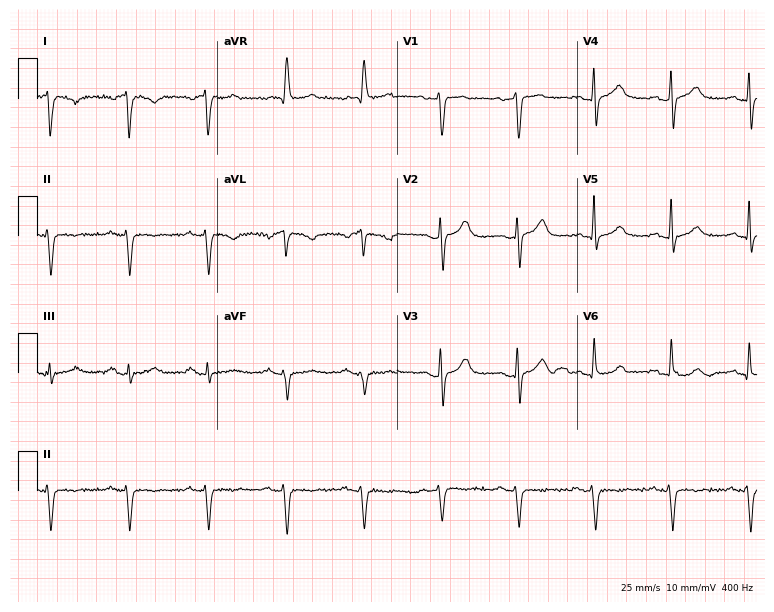
ECG (7.3-second recording at 400 Hz) — a male, 71 years old. Screened for six findings — first-degree AV block, right bundle branch block, left bundle branch block, sinus bradycardia, atrial fibrillation, sinus tachycardia — none is recorded.